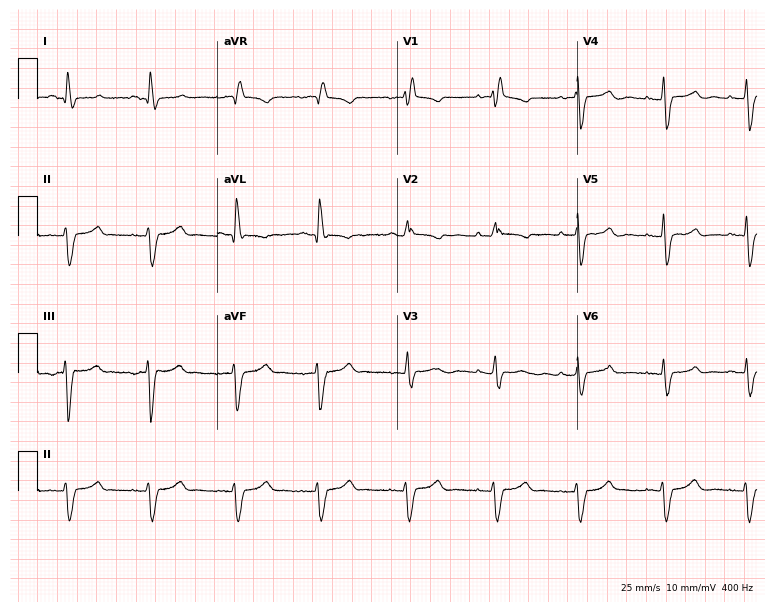
ECG (7.3-second recording at 400 Hz) — a woman, 70 years old. Findings include right bundle branch block.